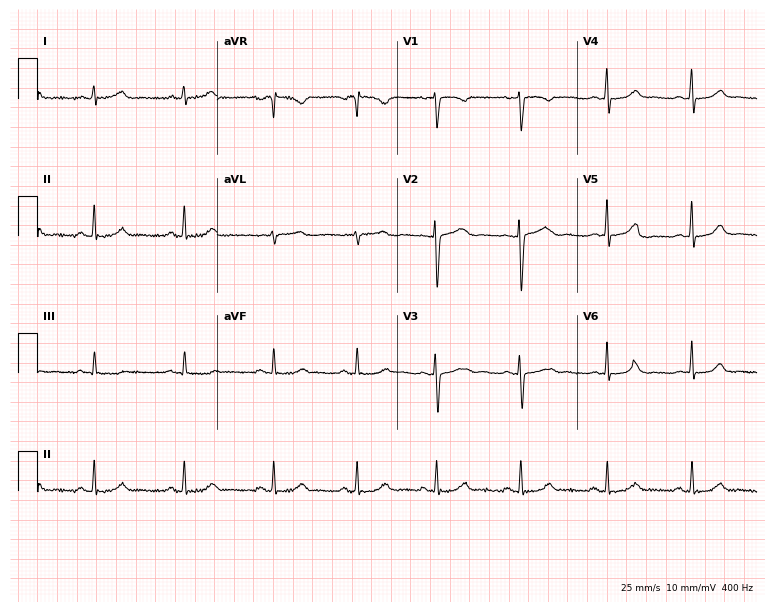
Electrocardiogram (7.3-second recording at 400 Hz), a female patient, 33 years old. Overall reading on record: normal ECG.